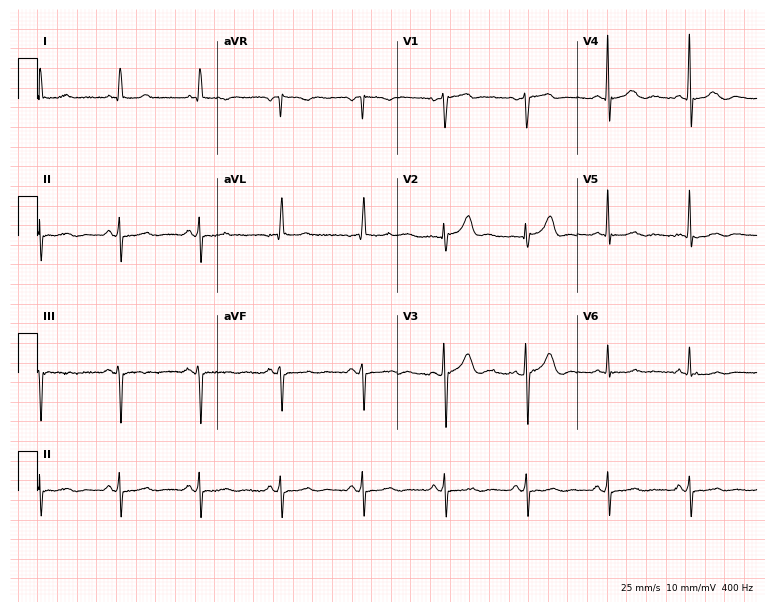
12-lead ECG from an 84-year-old male patient (7.3-second recording at 400 Hz). No first-degree AV block, right bundle branch block, left bundle branch block, sinus bradycardia, atrial fibrillation or sinus tachycardia recorded for this tracing.